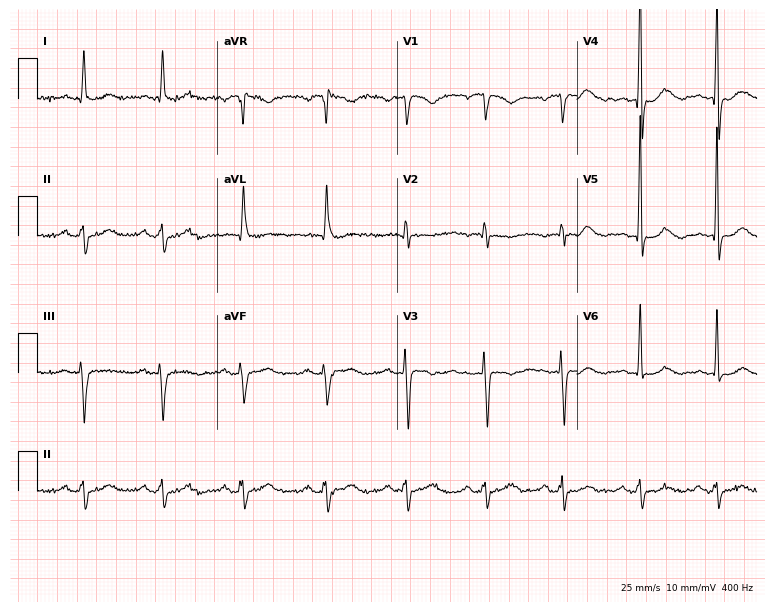
Standard 12-lead ECG recorded from a female, 80 years old. None of these six findings is recorded: first-degree AV block, right bundle branch block, left bundle branch block, sinus bradycardia, atrial fibrillation, sinus tachycardia.